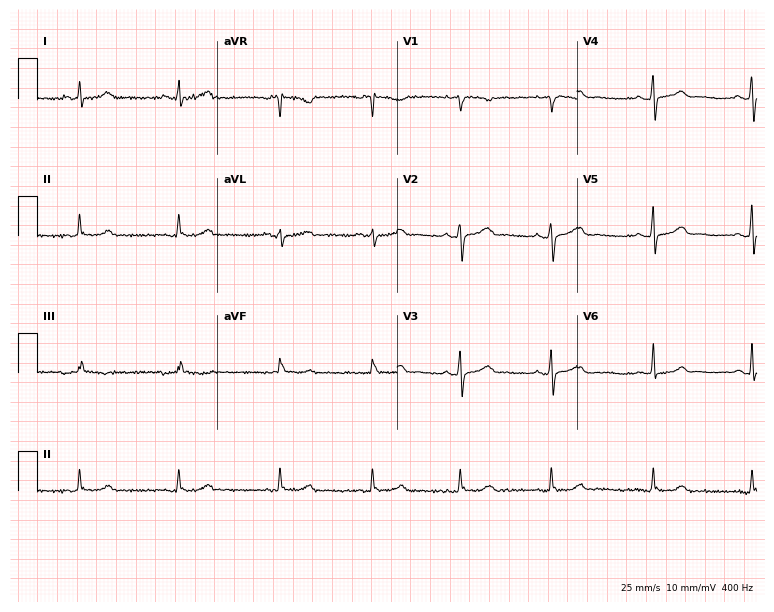
Resting 12-lead electrocardiogram. Patient: a 33-year-old woman. Read as a normal ECG.